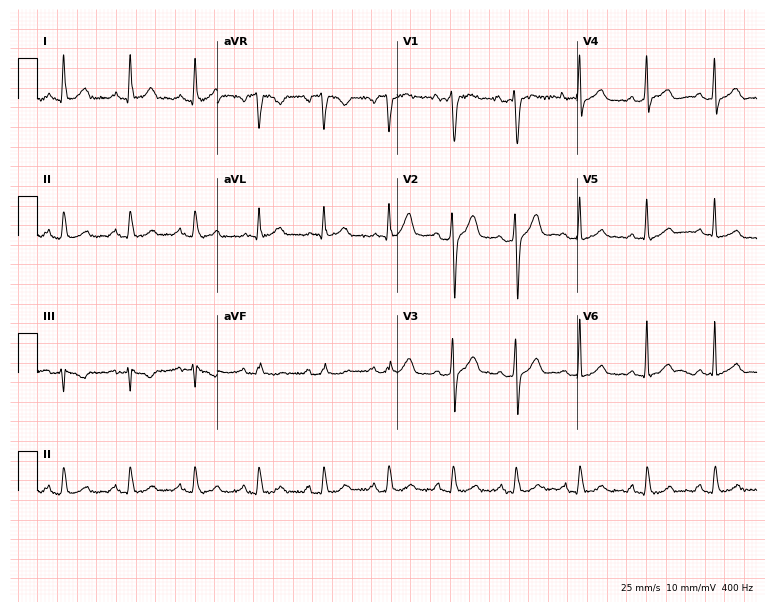
Electrocardiogram (7.3-second recording at 400 Hz), a male, 38 years old. Of the six screened findings (first-degree AV block, right bundle branch block, left bundle branch block, sinus bradycardia, atrial fibrillation, sinus tachycardia), none is recorded. Only these six findings were labelled.